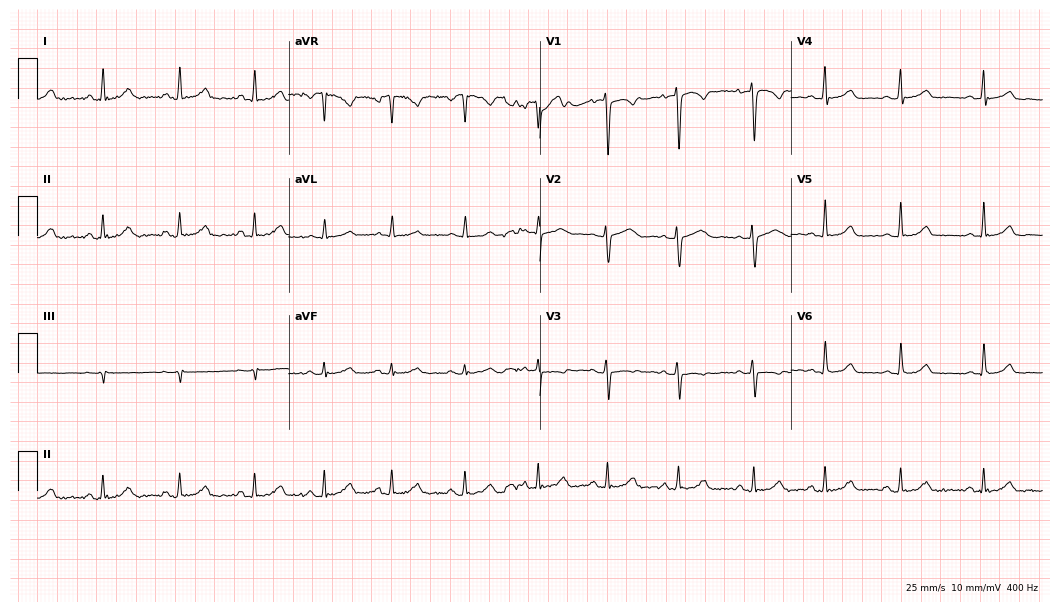
12-lead ECG from a female patient, 23 years old. Recorded interpretation: within normal limits.